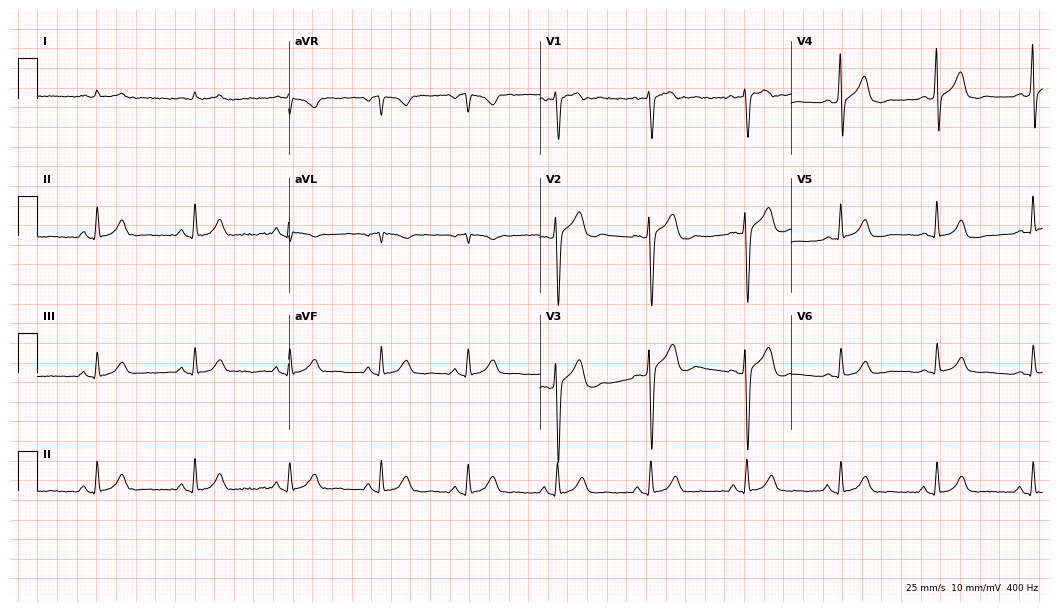
12-lead ECG from a male, 40 years old. No first-degree AV block, right bundle branch block, left bundle branch block, sinus bradycardia, atrial fibrillation or sinus tachycardia recorded for this tracing.